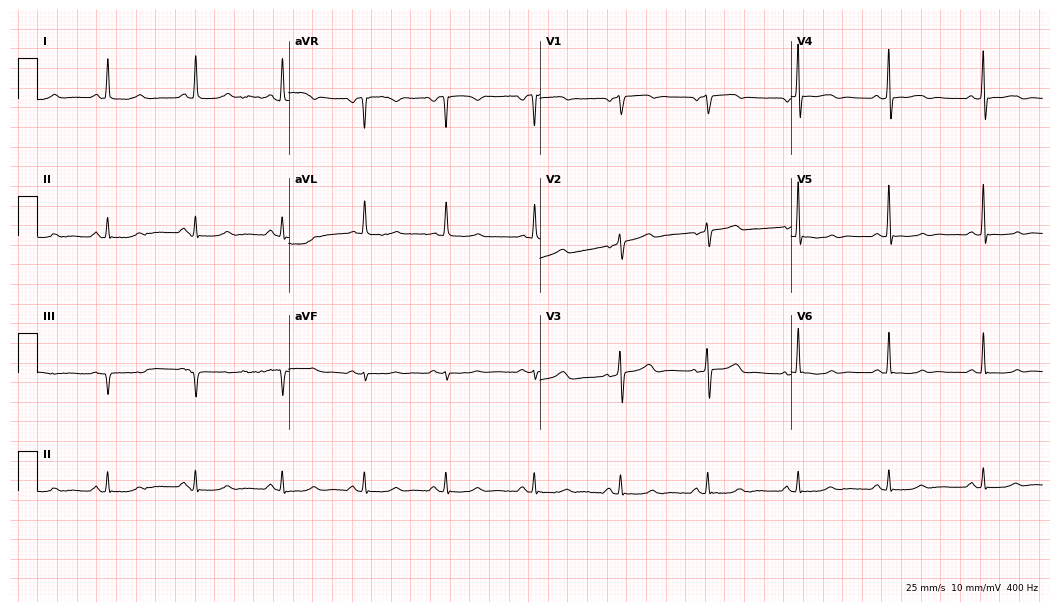
Electrocardiogram (10.2-second recording at 400 Hz), a female, 67 years old. Overall reading on record: normal ECG.